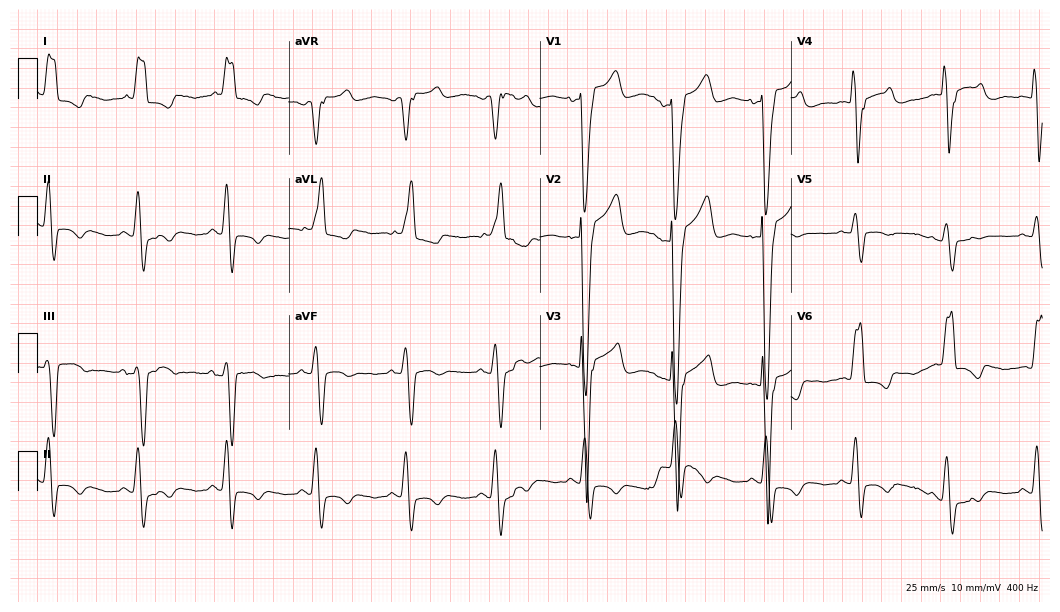
12-lead ECG from an 84-year-old female. Shows left bundle branch block.